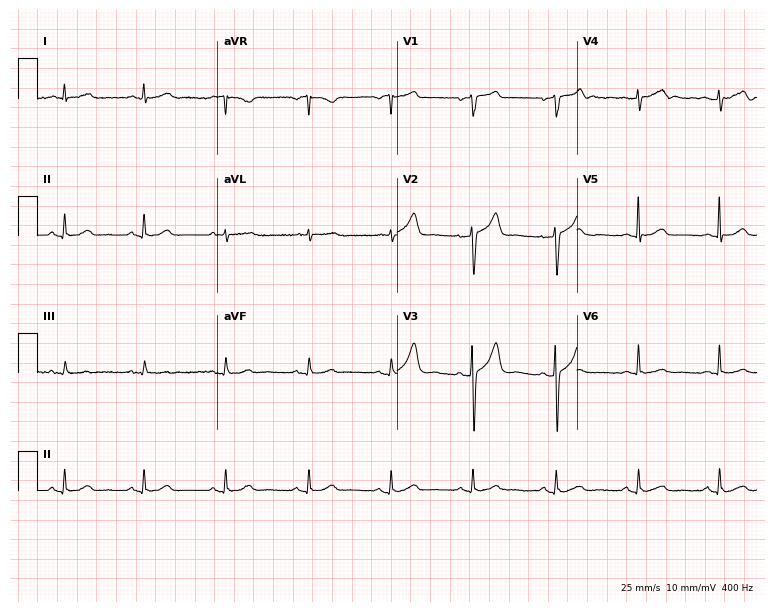
12-lead ECG from a 79-year-old male patient. Labelled as a normal ECG.